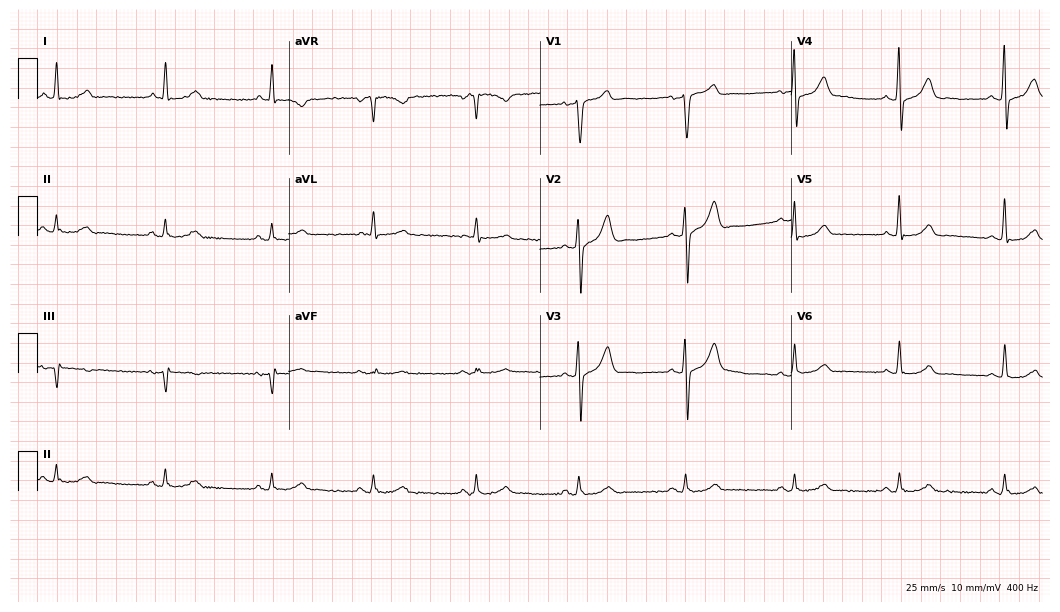
ECG — a 48-year-old male. Labelled as a normal ECG.